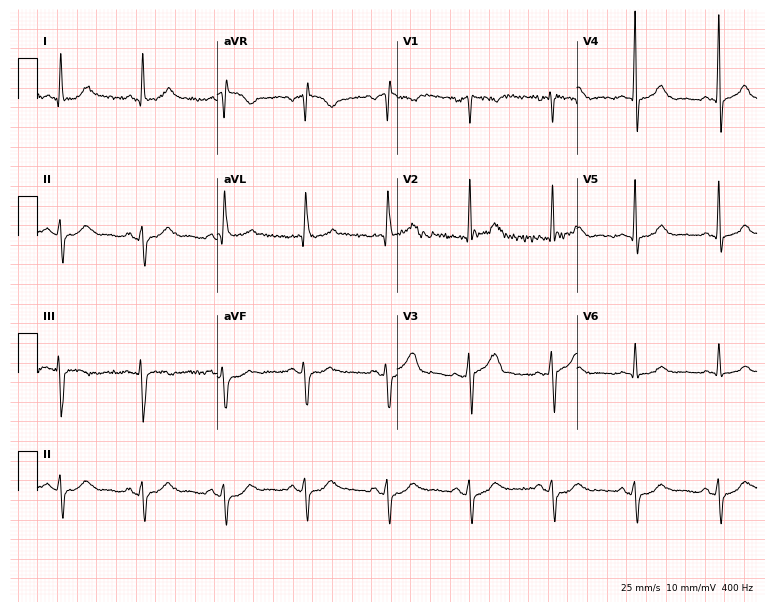
12-lead ECG from a 65-year-old man (7.3-second recording at 400 Hz). No first-degree AV block, right bundle branch block, left bundle branch block, sinus bradycardia, atrial fibrillation or sinus tachycardia recorded for this tracing. Findings outside these six are not listed.